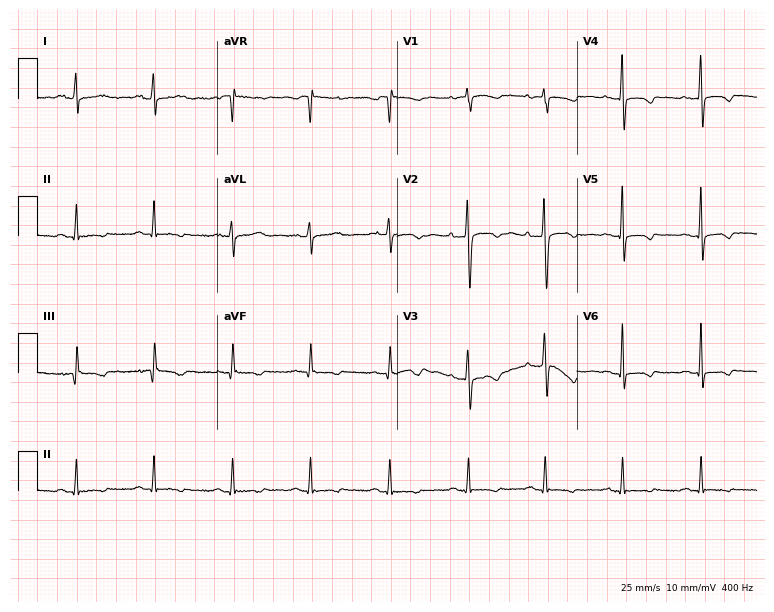
Electrocardiogram, a female patient, 46 years old. Of the six screened findings (first-degree AV block, right bundle branch block, left bundle branch block, sinus bradycardia, atrial fibrillation, sinus tachycardia), none is recorded. Other findings, if any, are not listed.